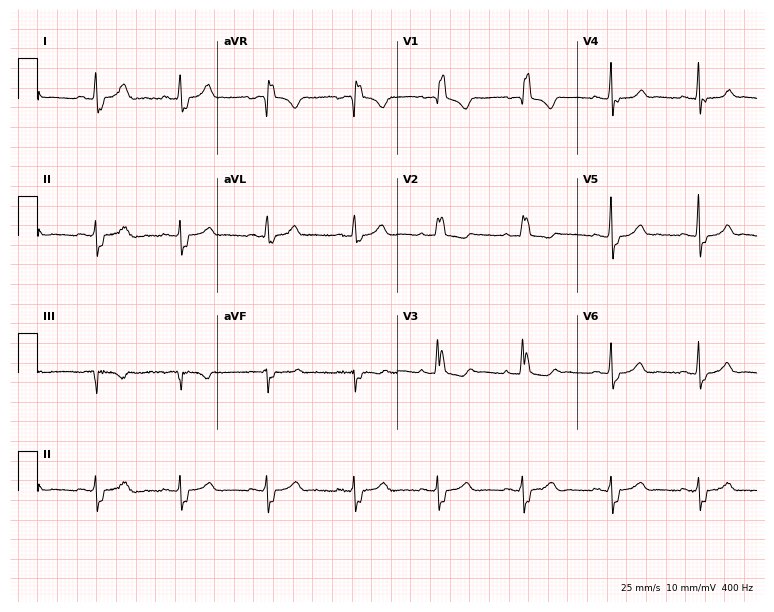
Electrocardiogram, a 56-year-old female patient. Interpretation includes right bundle branch block.